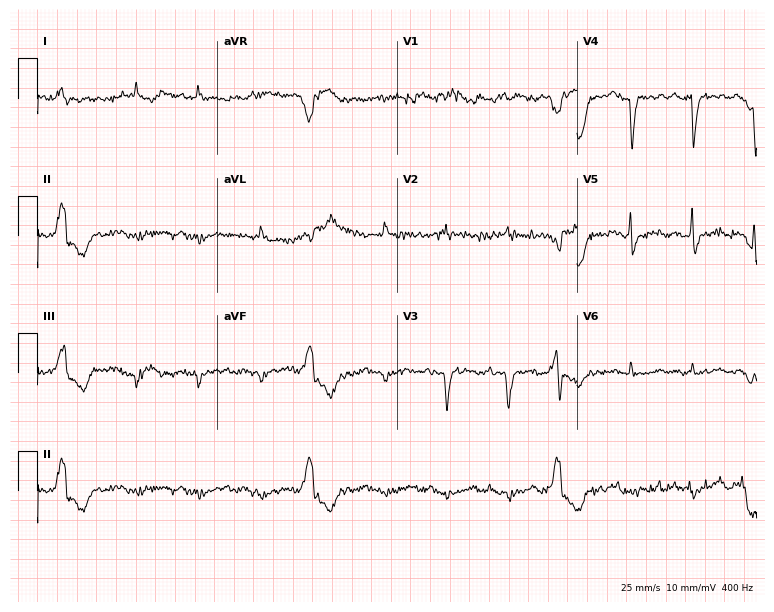
Resting 12-lead electrocardiogram. Patient: a male, 75 years old. None of these six findings is recorded: first-degree AV block, right bundle branch block (RBBB), left bundle branch block (LBBB), sinus bradycardia, atrial fibrillation (AF), sinus tachycardia. Findings outside these six are not listed.